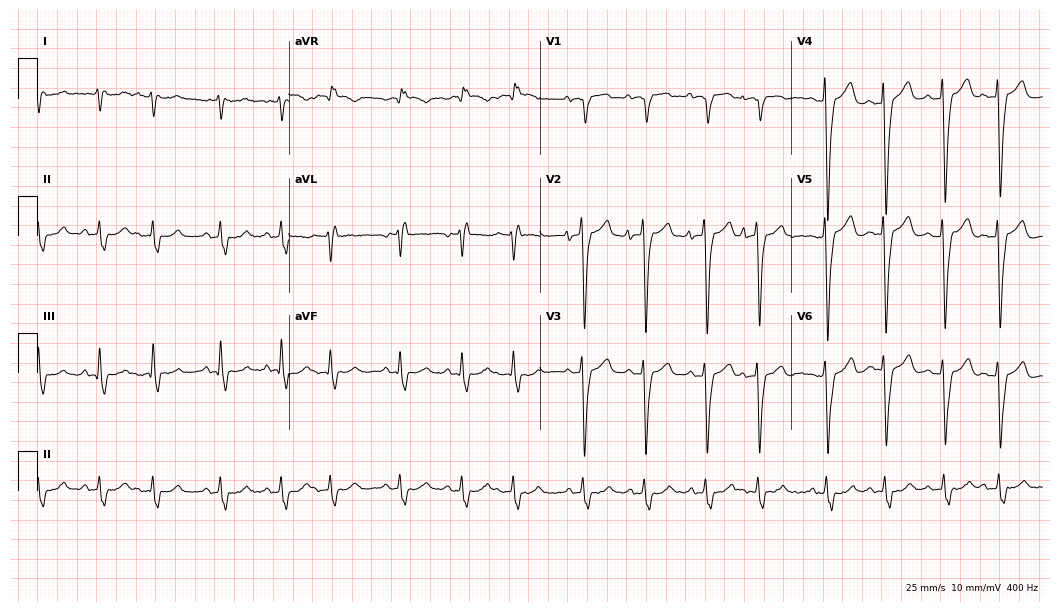
12-lead ECG from a 78-year-old female patient. No first-degree AV block, right bundle branch block, left bundle branch block, sinus bradycardia, atrial fibrillation or sinus tachycardia recorded for this tracing.